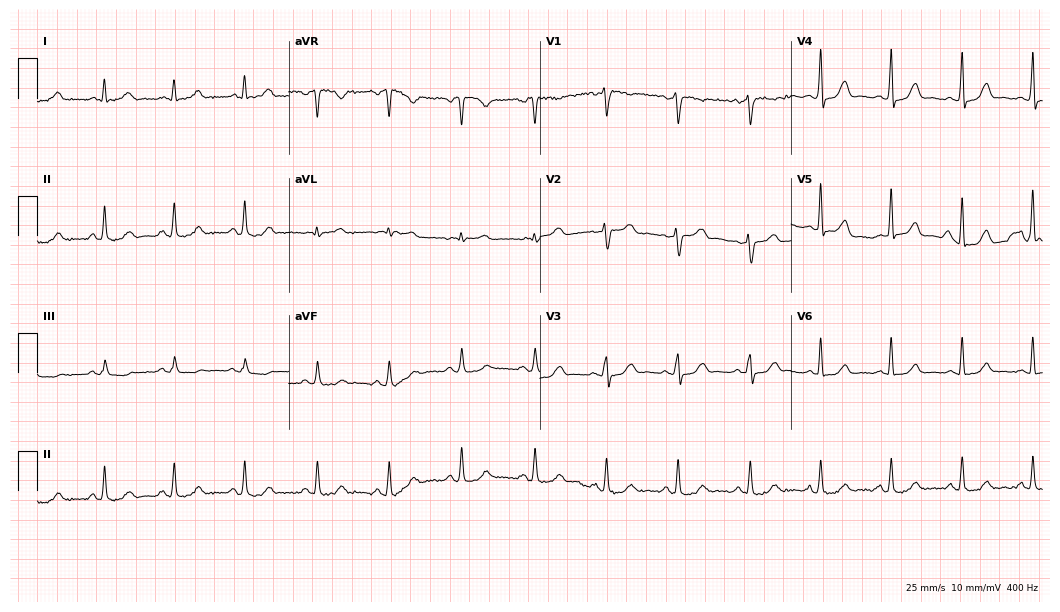
Standard 12-lead ECG recorded from a 49-year-old female. Read as a normal ECG.